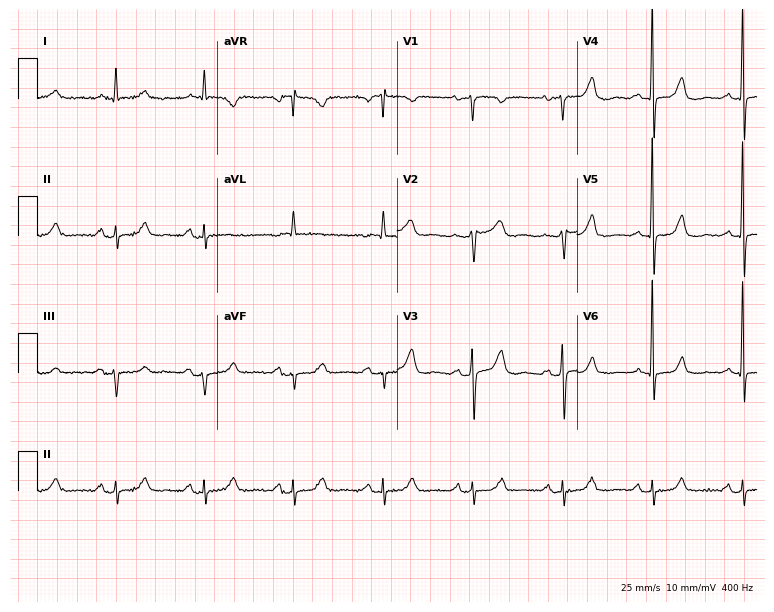
ECG (7.3-second recording at 400 Hz) — an 80-year-old woman. Screened for six findings — first-degree AV block, right bundle branch block, left bundle branch block, sinus bradycardia, atrial fibrillation, sinus tachycardia — none is recorded.